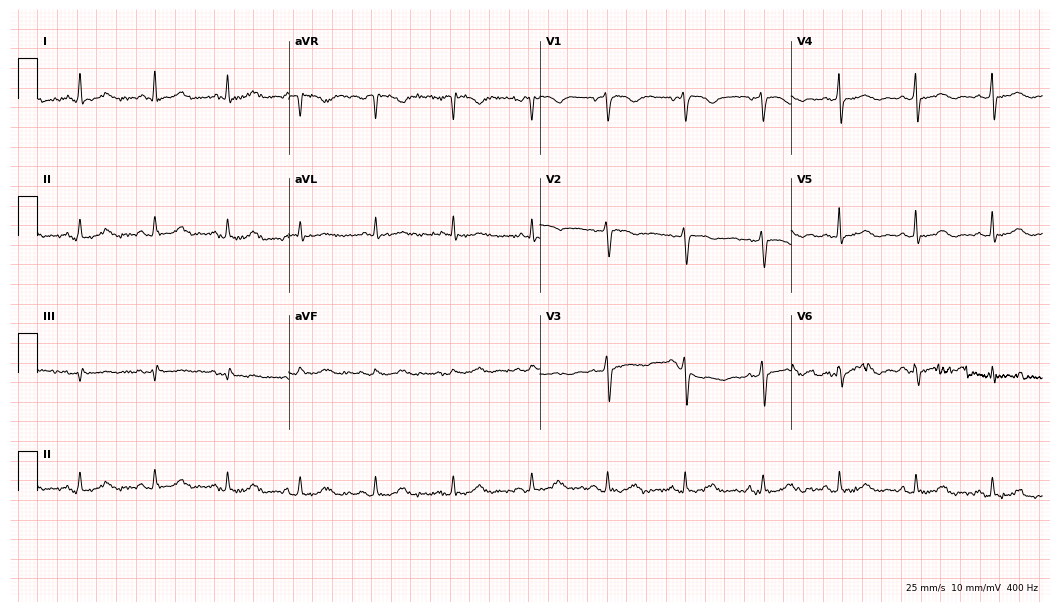
12-lead ECG from a female, 74 years old (10.2-second recording at 400 Hz). Recorded interpretation: within normal limits.